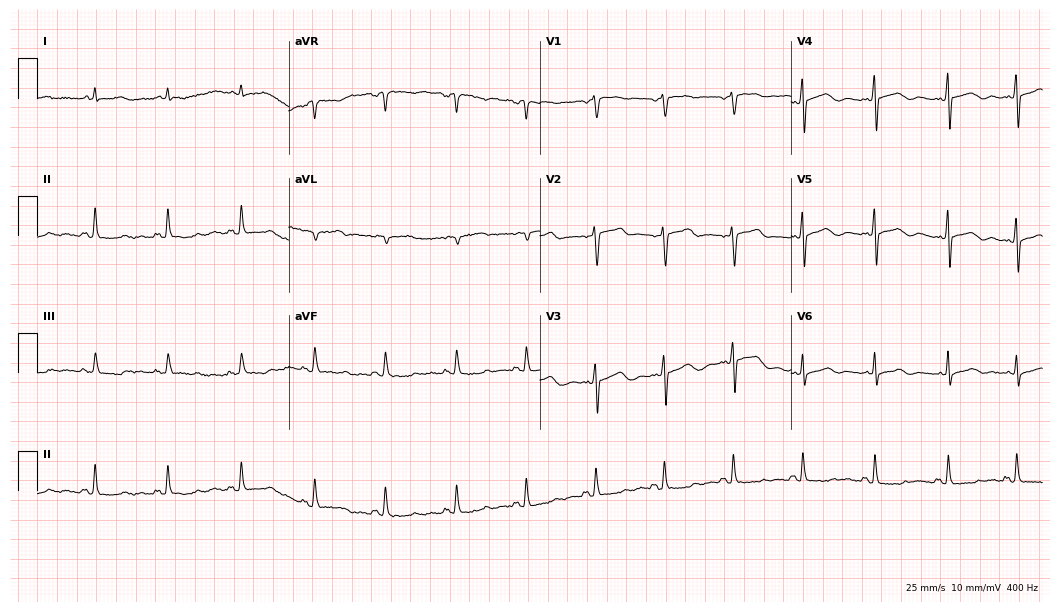
12-lead ECG from a man, 64 years old. Screened for six findings — first-degree AV block, right bundle branch block, left bundle branch block, sinus bradycardia, atrial fibrillation, sinus tachycardia — none is recorded.